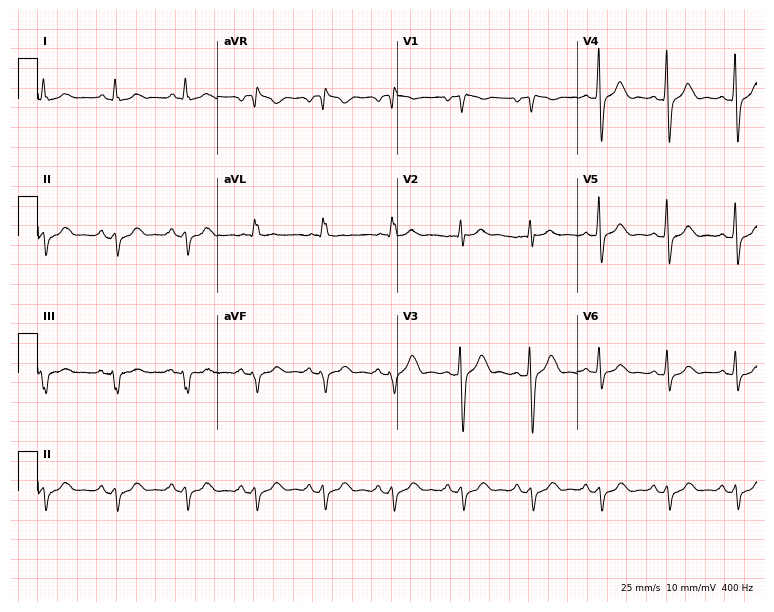
12-lead ECG from a male, 52 years old (7.3-second recording at 400 Hz). Recorded interpretation: within normal limits.